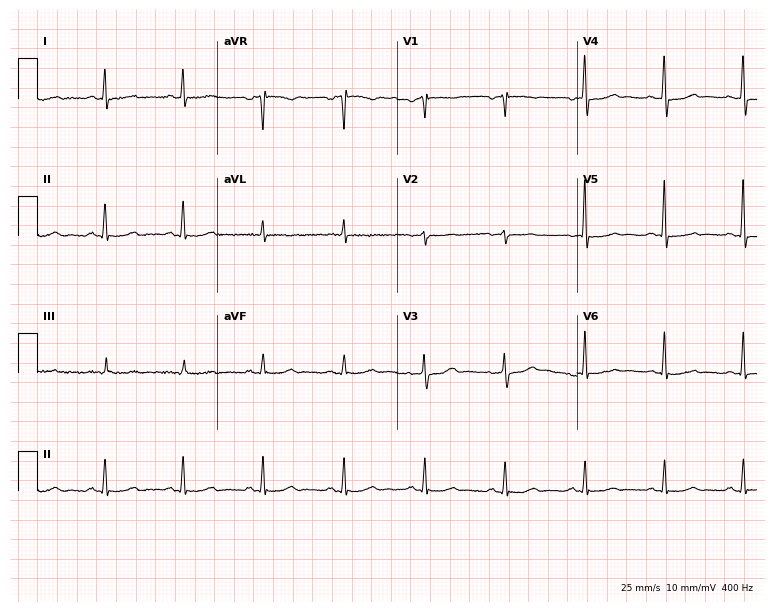
Standard 12-lead ECG recorded from a woman, 71 years old. None of these six findings is recorded: first-degree AV block, right bundle branch block, left bundle branch block, sinus bradycardia, atrial fibrillation, sinus tachycardia.